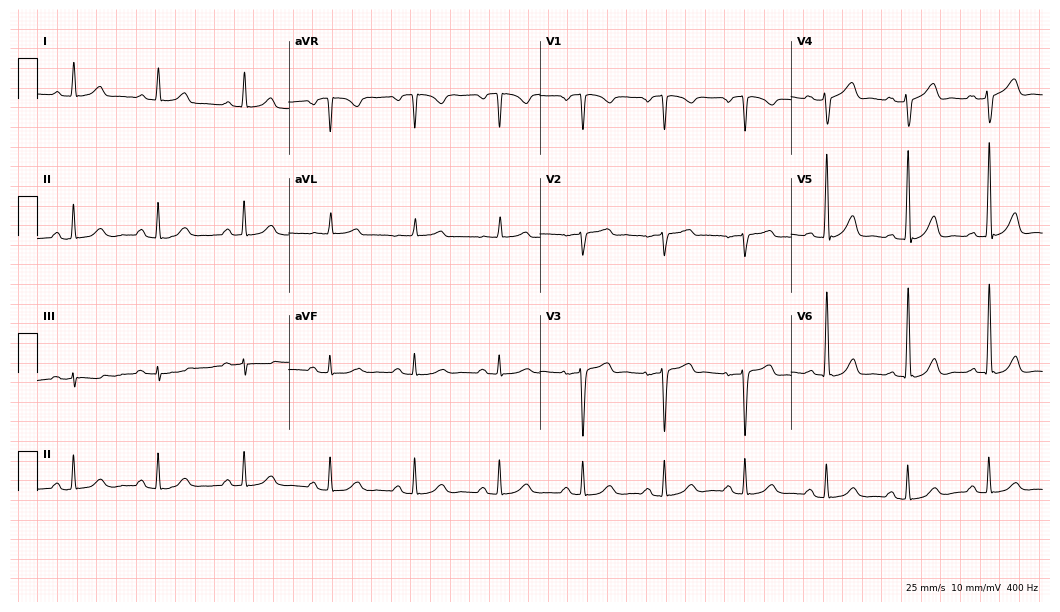
ECG (10.2-second recording at 400 Hz) — a male patient, 65 years old. Labelled as a normal ECG.